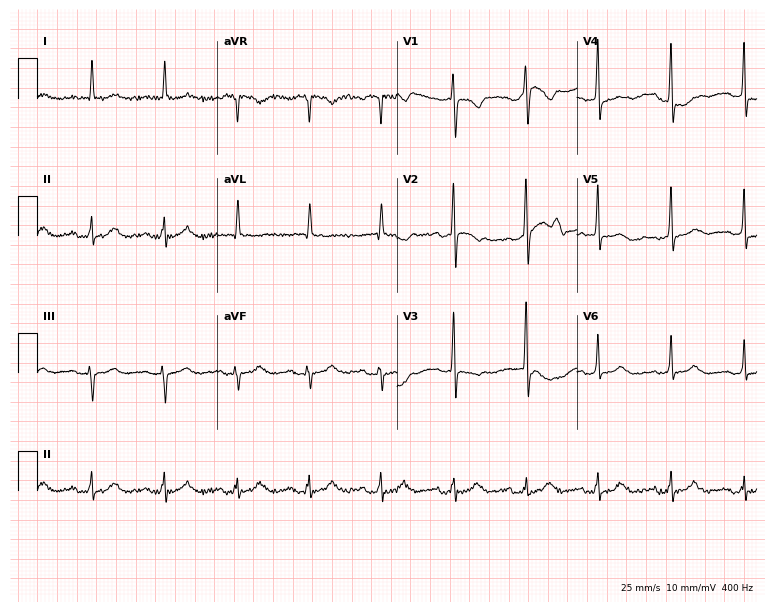
Resting 12-lead electrocardiogram (7.3-second recording at 400 Hz). Patient: an 82-year-old female. None of these six findings is recorded: first-degree AV block, right bundle branch block, left bundle branch block, sinus bradycardia, atrial fibrillation, sinus tachycardia.